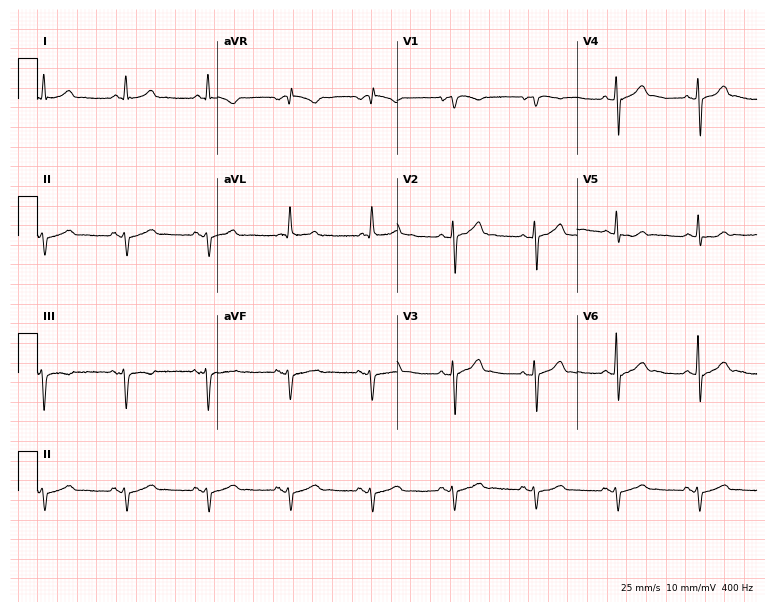
ECG — a male patient, 64 years old. Screened for six findings — first-degree AV block, right bundle branch block, left bundle branch block, sinus bradycardia, atrial fibrillation, sinus tachycardia — none is recorded.